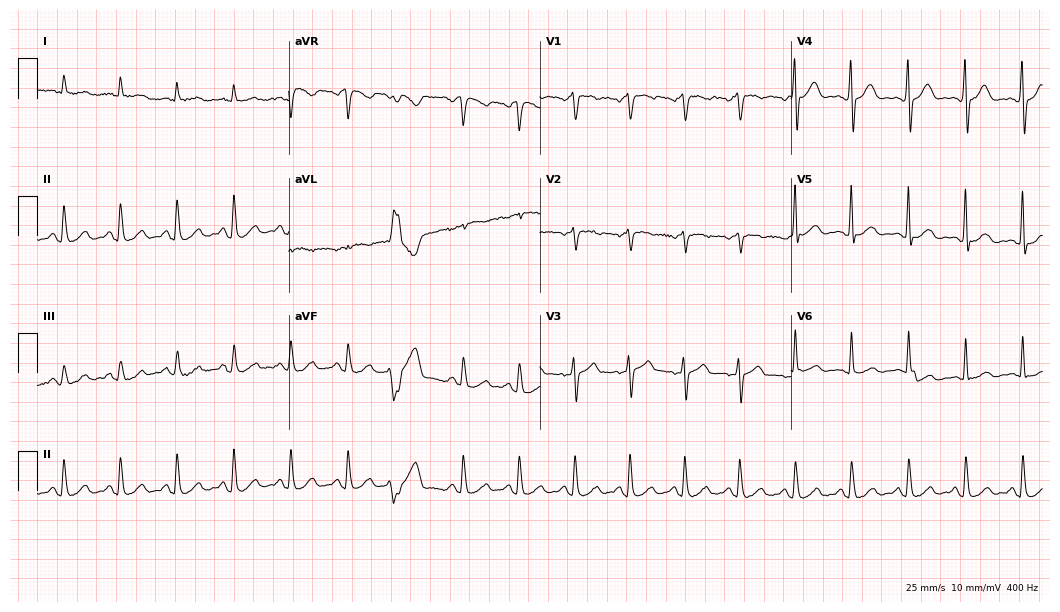
12-lead ECG from a 65-year-old man. Shows sinus tachycardia (a sinus rate of 100 beats per minute or more).